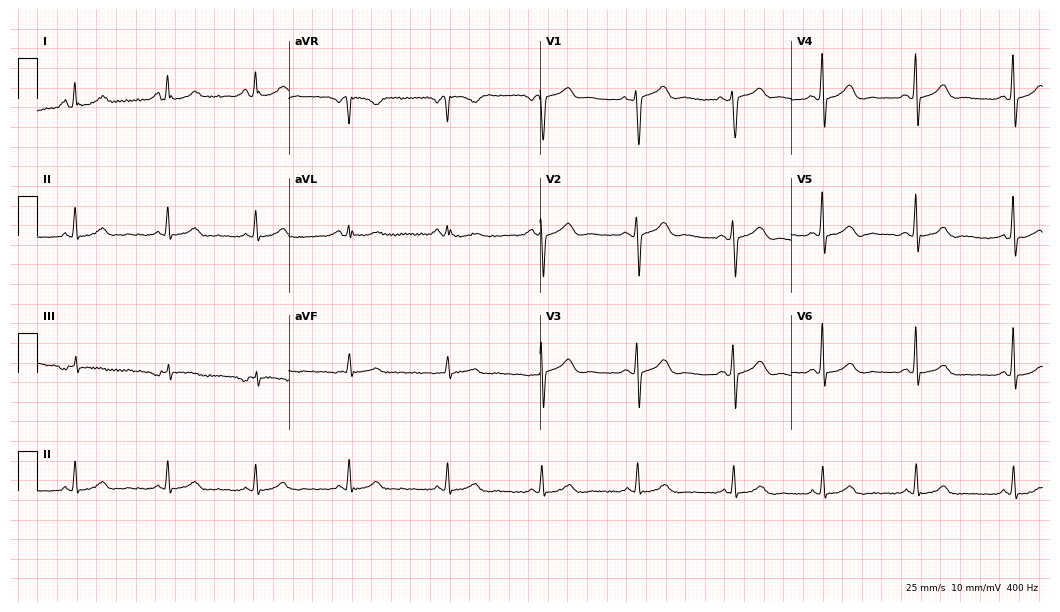
Standard 12-lead ECG recorded from a 71-year-old male. Read as a normal ECG.